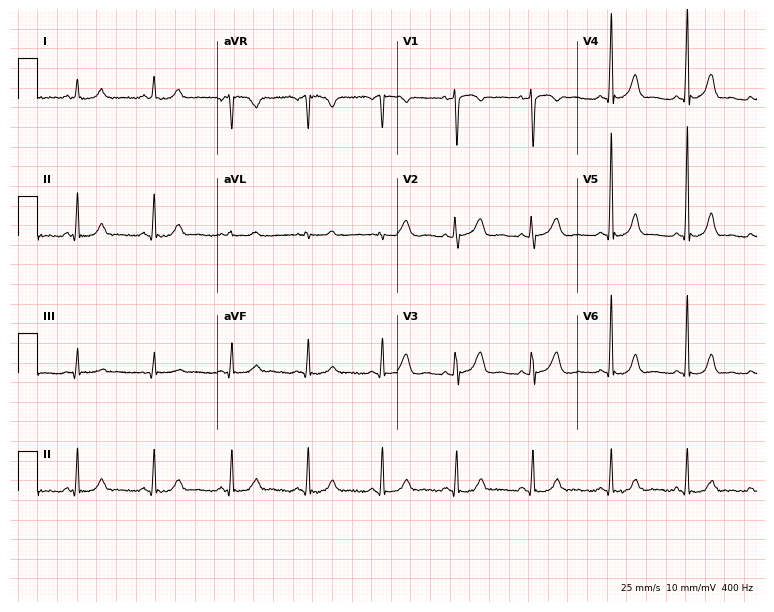
Resting 12-lead electrocardiogram (7.3-second recording at 400 Hz). Patient: a woman, 45 years old. None of these six findings is recorded: first-degree AV block, right bundle branch block, left bundle branch block, sinus bradycardia, atrial fibrillation, sinus tachycardia.